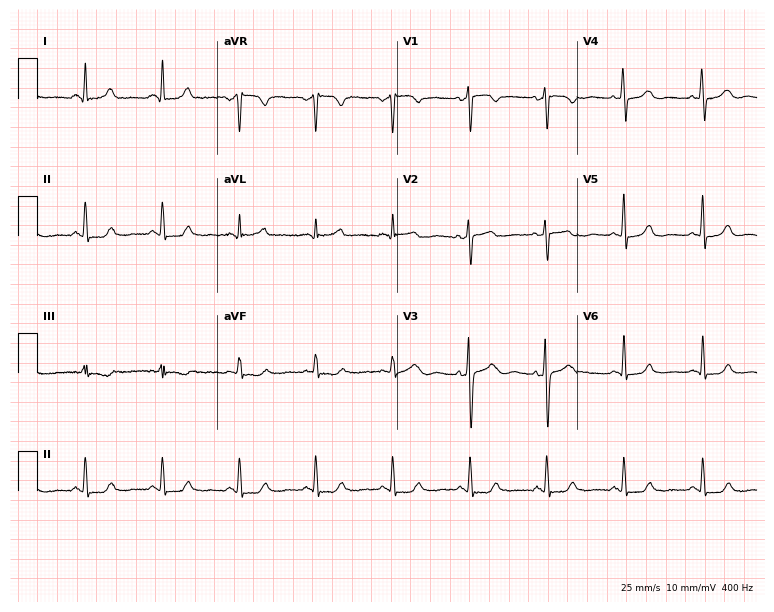
ECG — a female patient, 40 years old. Screened for six findings — first-degree AV block, right bundle branch block (RBBB), left bundle branch block (LBBB), sinus bradycardia, atrial fibrillation (AF), sinus tachycardia — none is recorded. Other findings, if any, are not listed.